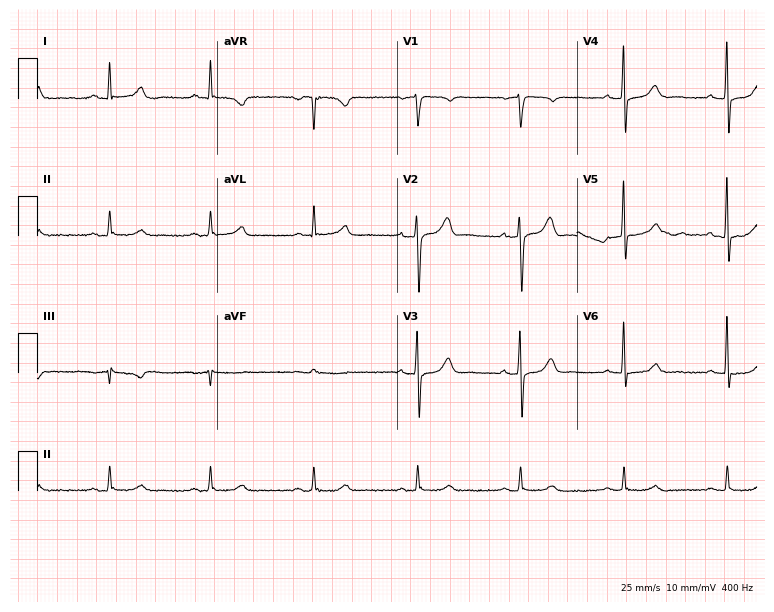
12-lead ECG from a man, 57 years old (7.3-second recording at 400 Hz). Recorded interpretation: within normal limits.